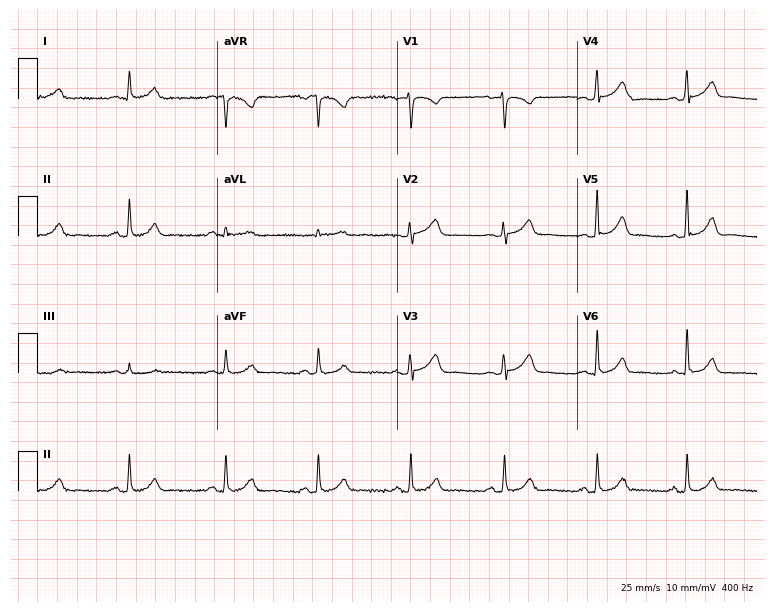
12-lead ECG from a 37-year-old female patient (7.3-second recording at 400 Hz). Recorded interpretation: within normal limits.